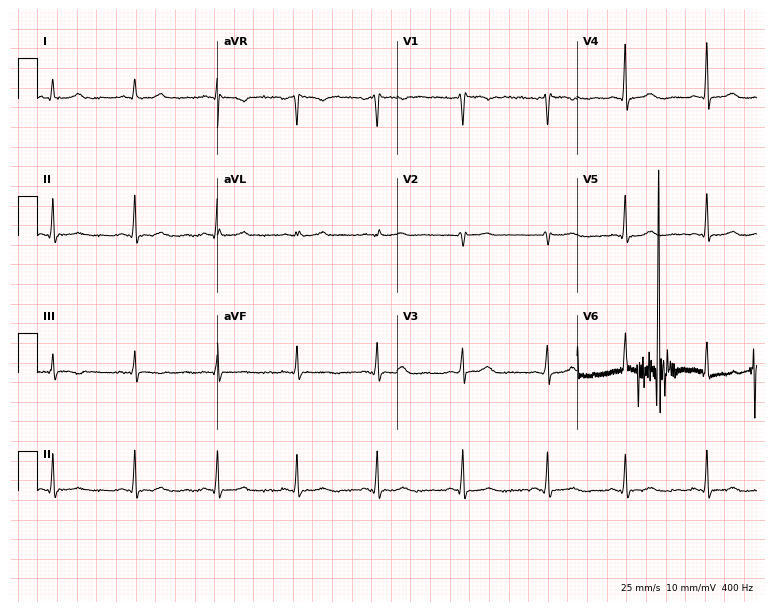
12-lead ECG from a 43-year-old female. Screened for six findings — first-degree AV block, right bundle branch block (RBBB), left bundle branch block (LBBB), sinus bradycardia, atrial fibrillation (AF), sinus tachycardia — none is recorded. Only these six findings were labelled.